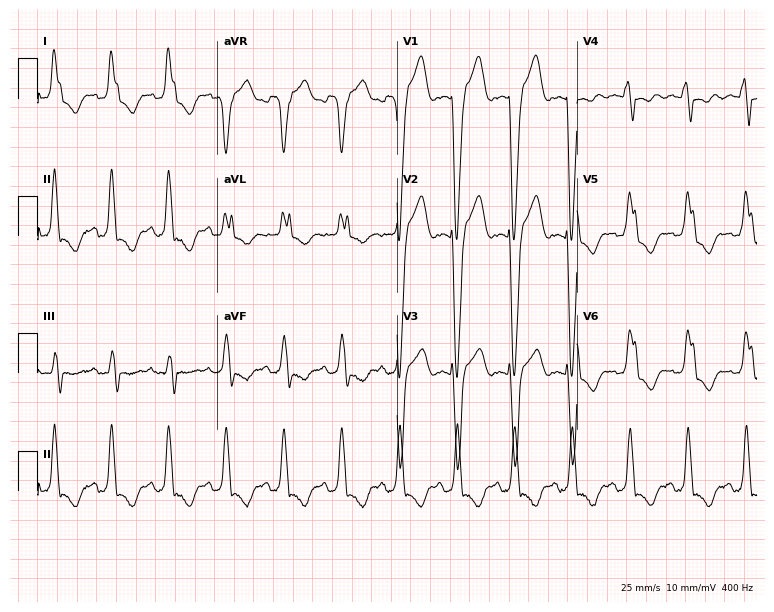
Resting 12-lead electrocardiogram. Patient: a 70-year-old female. The tracing shows left bundle branch block.